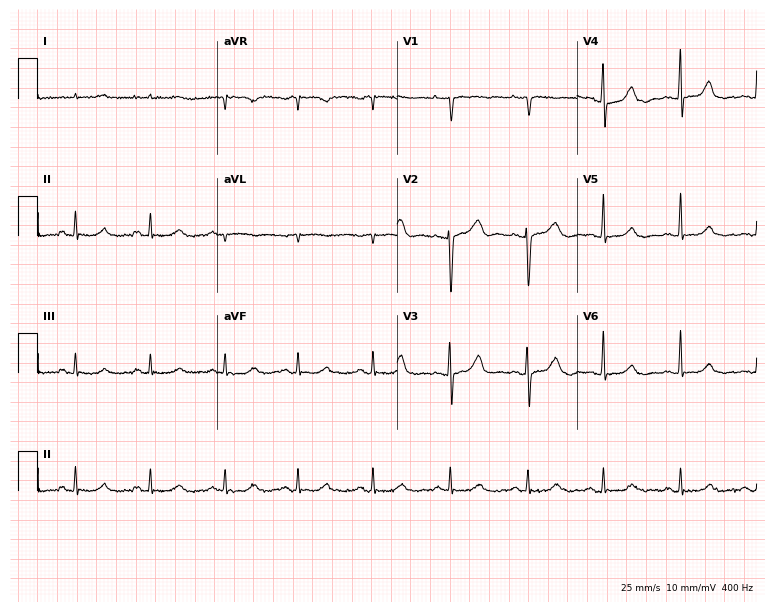
12-lead ECG from a female patient, 75 years old (7.3-second recording at 400 Hz). Recorded interpretation: within normal limits.